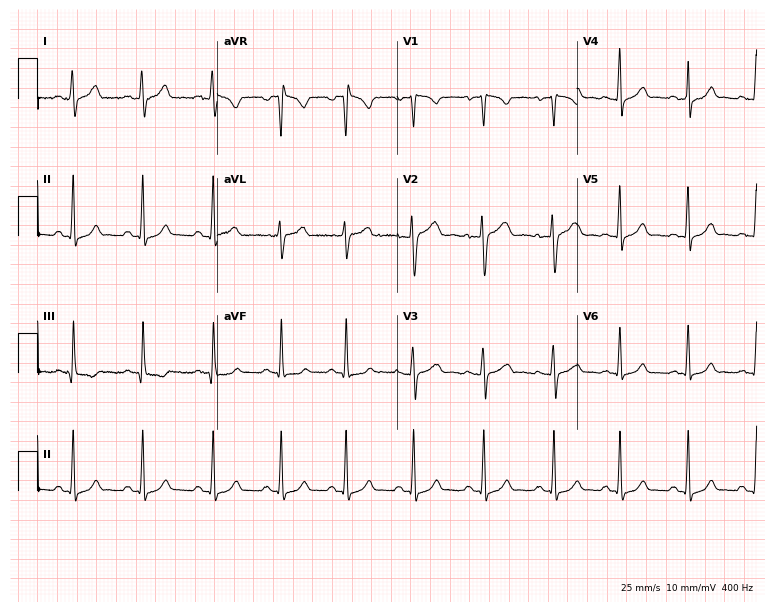
ECG (7.3-second recording at 400 Hz) — a 20-year-old woman. Labelled as a normal ECG.